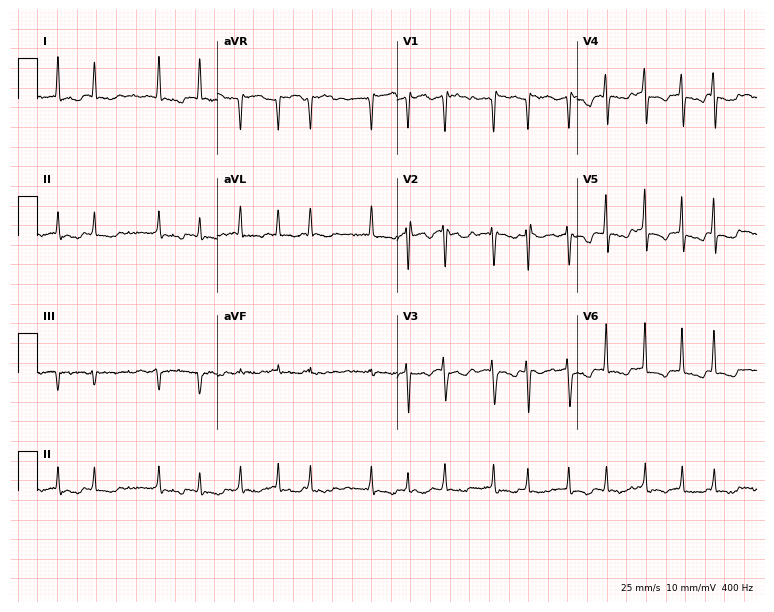
12-lead ECG from an 83-year-old woman (7.3-second recording at 400 Hz). Shows atrial fibrillation (AF).